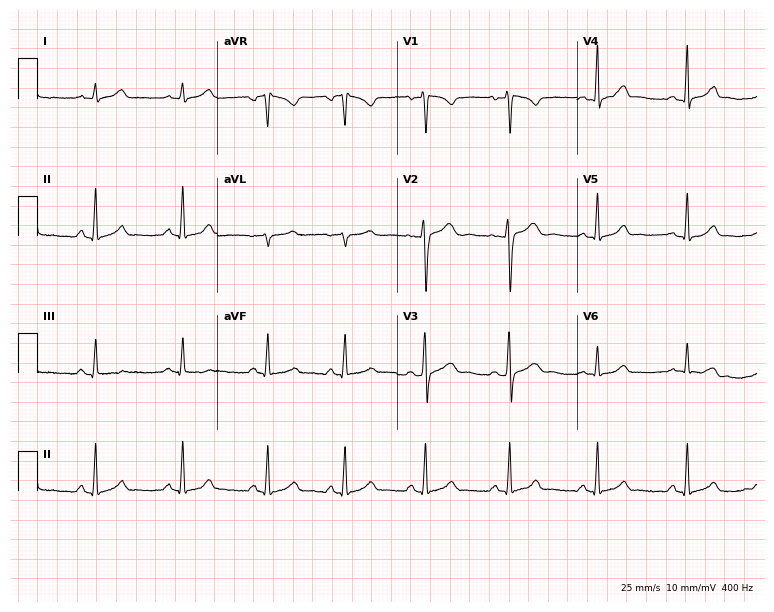
ECG — a female patient, 23 years old. Labelled as a normal ECG.